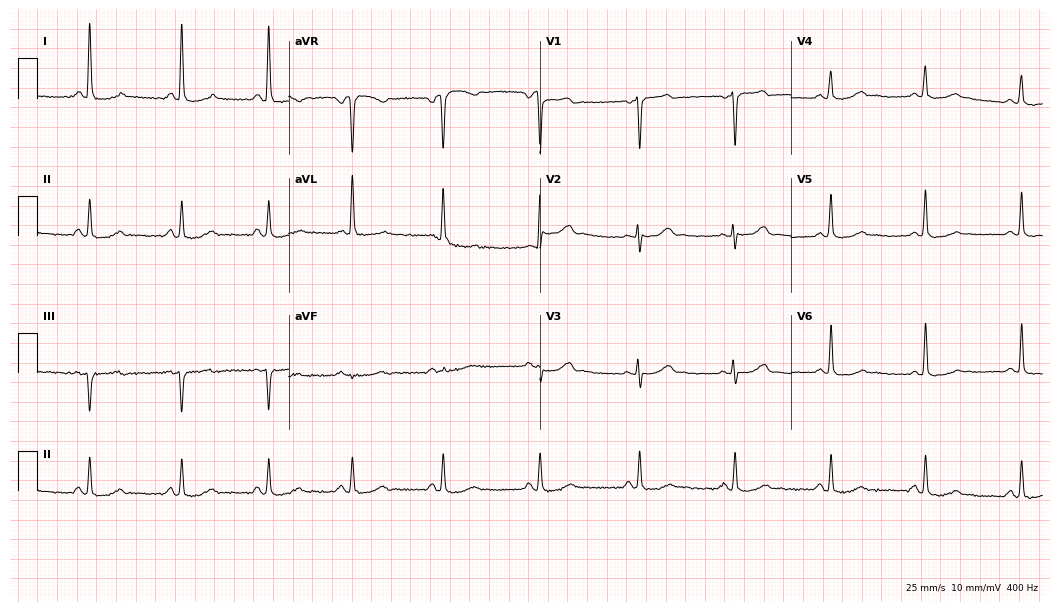
Resting 12-lead electrocardiogram (10.2-second recording at 400 Hz). Patient: a 53-year-old female. Read as a normal ECG.